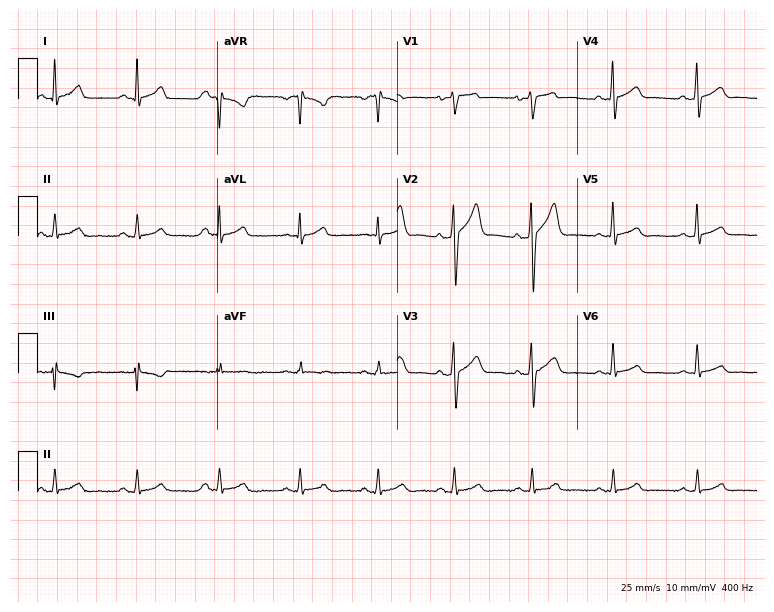
12-lead ECG from a male patient, 36 years old. Labelled as a normal ECG.